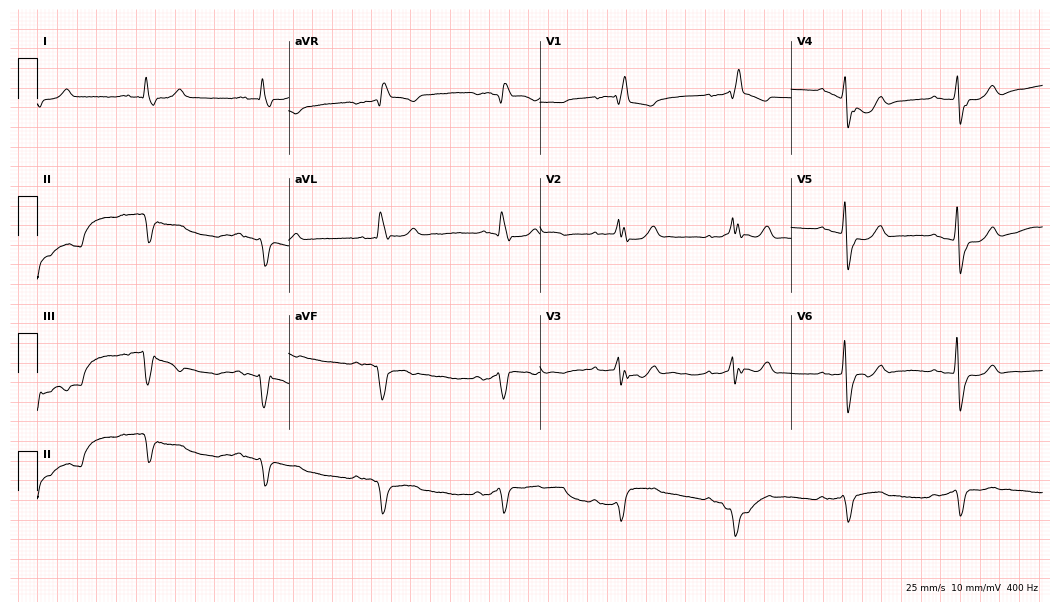
12-lead ECG from an 85-year-old male patient. Shows right bundle branch block.